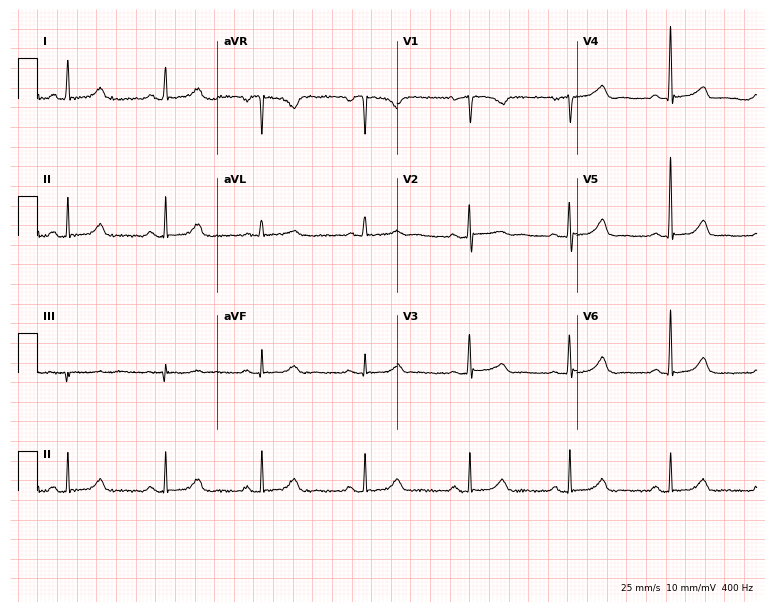
ECG (7.3-second recording at 400 Hz) — a 42-year-old female. Labelled as a normal ECG.